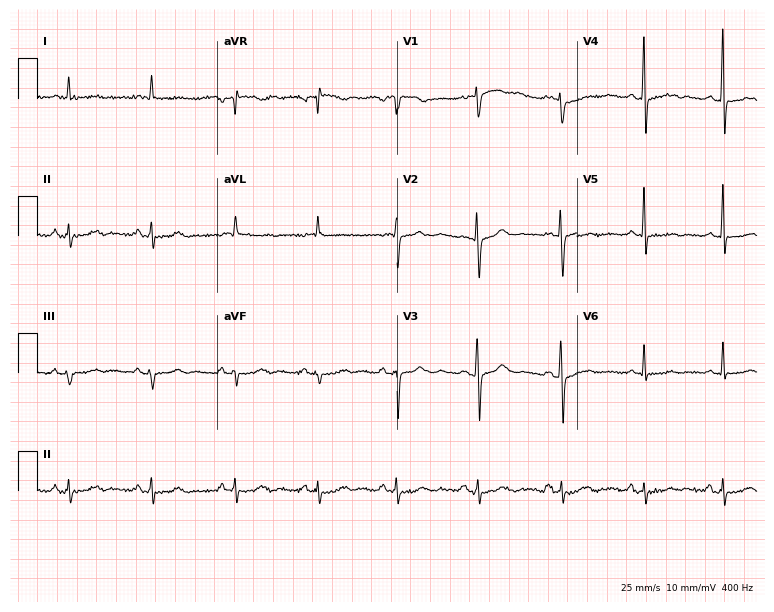
Standard 12-lead ECG recorded from a 61-year-old female (7.3-second recording at 400 Hz). None of these six findings is recorded: first-degree AV block, right bundle branch block, left bundle branch block, sinus bradycardia, atrial fibrillation, sinus tachycardia.